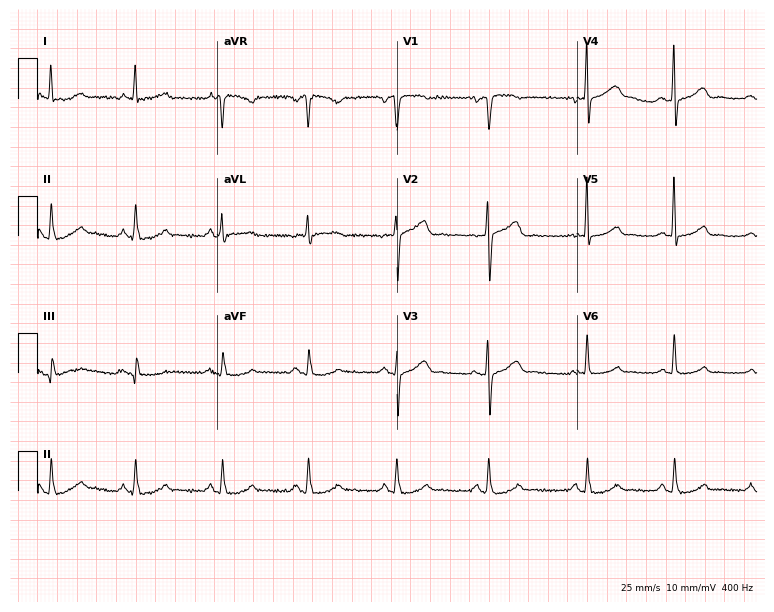
12-lead ECG from a 62-year-old male patient (7.3-second recording at 400 Hz). Recorded interpretation: within normal limits.